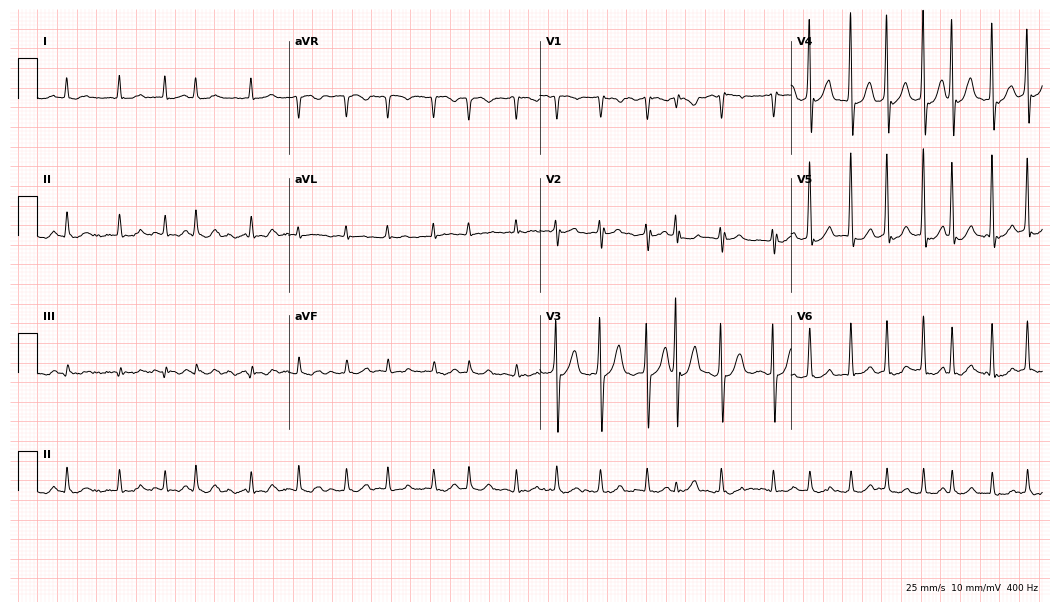
Electrocardiogram (10.2-second recording at 400 Hz), a male, 76 years old. Interpretation includes atrial fibrillation.